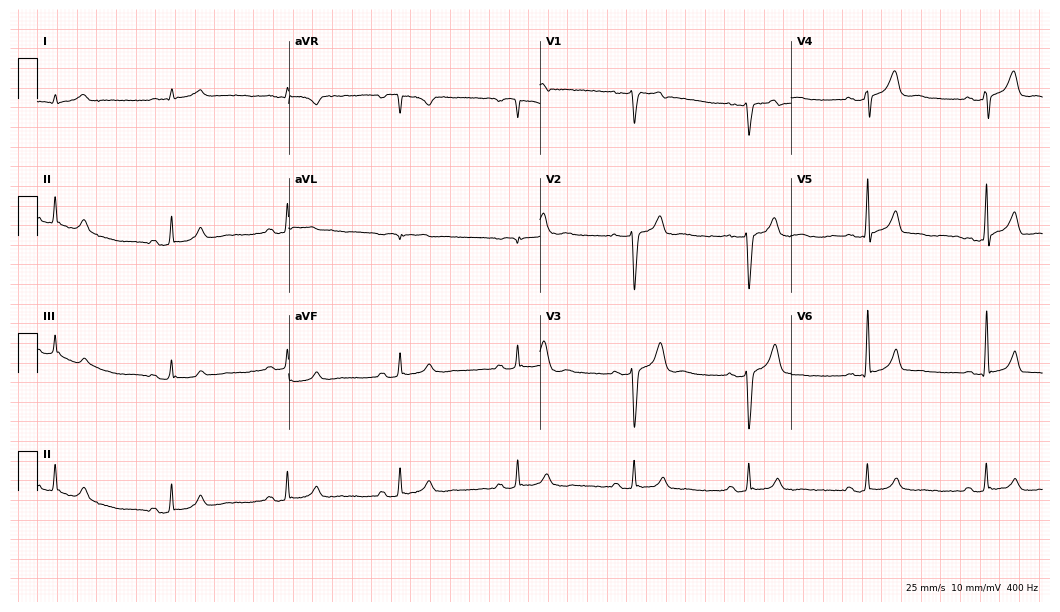
12-lead ECG from a 50-year-old male patient. Recorded interpretation: within normal limits.